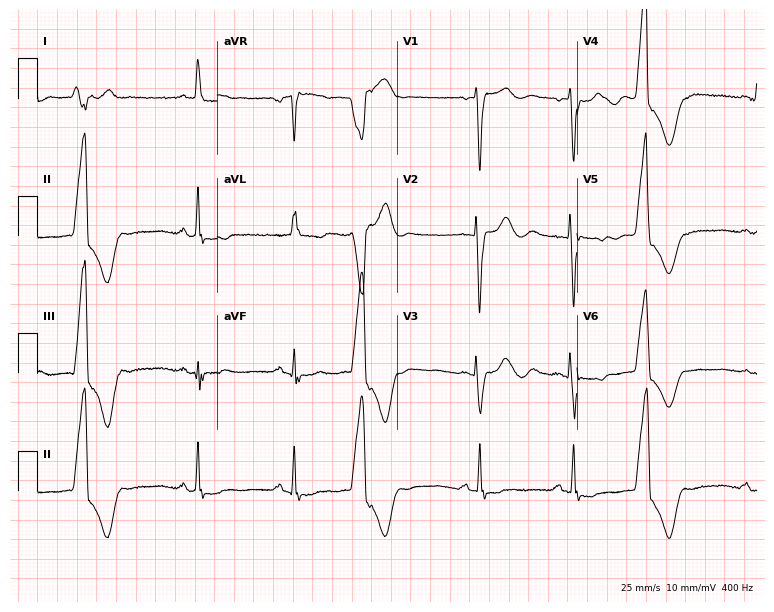
Standard 12-lead ECG recorded from a 74-year-old female patient (7.3-second recording at 400 Hz). None of these six findings is recorded: first-degree AV block, right bundle branch block (RBBB), left bundle branch block (LBBB), sinus bradycardia, atrial fibrillation (AF), sinus tachycardia. Findings outside these six are not listed.